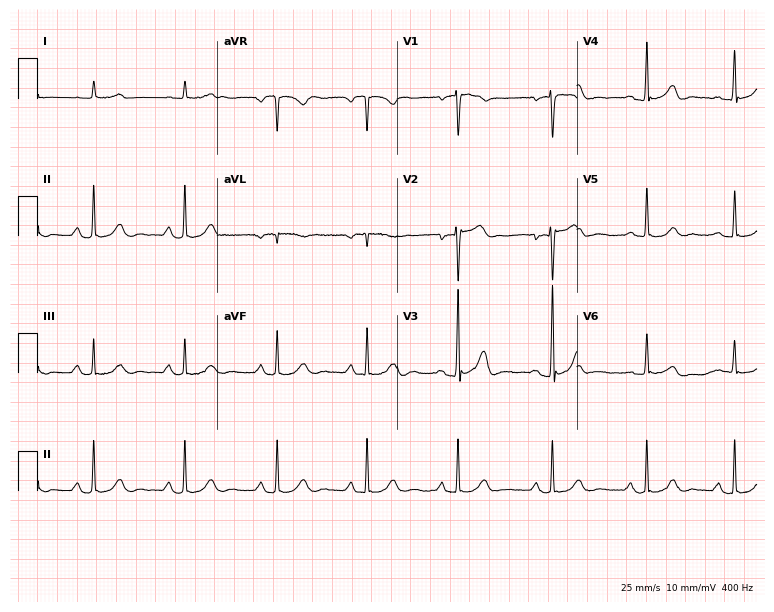
Electrocardiogram, a male patient, 70 years old. Overall reading on record: normal ECG.